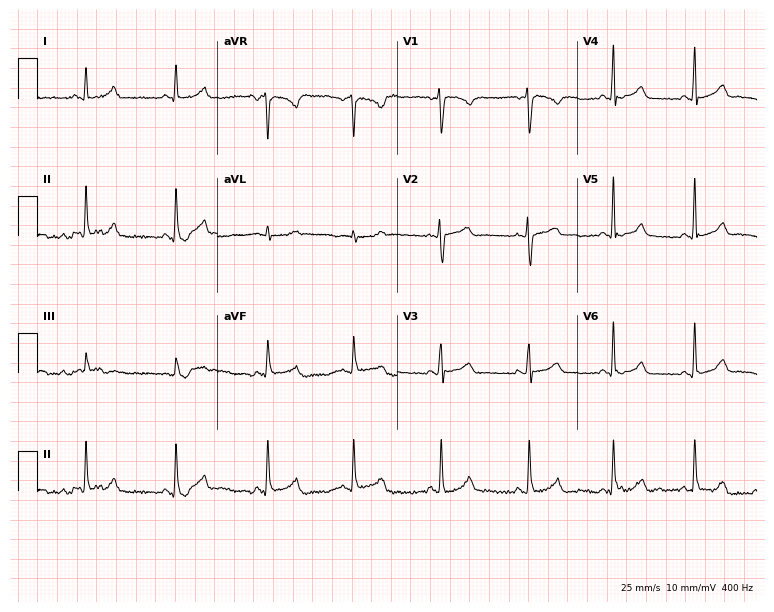
ECG — a 26-year-old female patient. Labelled as a normal ECG.